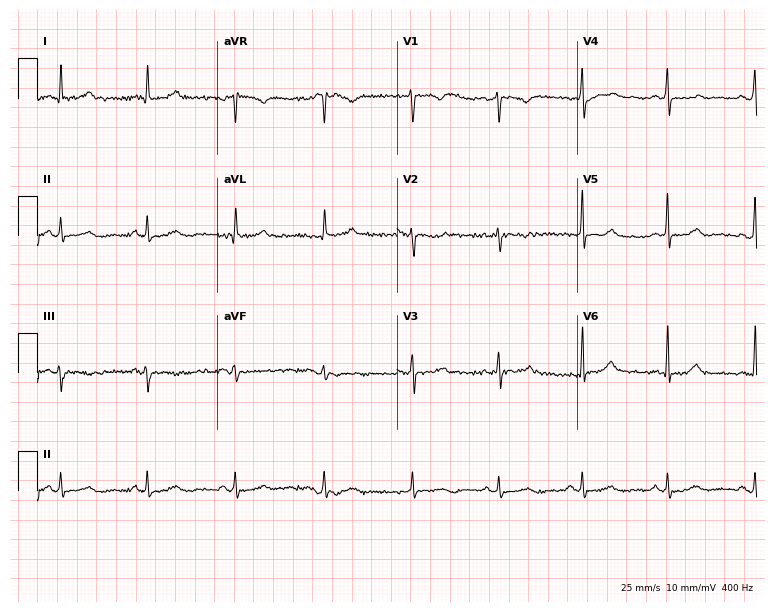
Standard 12-lead ECG recorded from a 54-year-old female (7.3-second recording at 400 Hz). Read as a normal ECG.